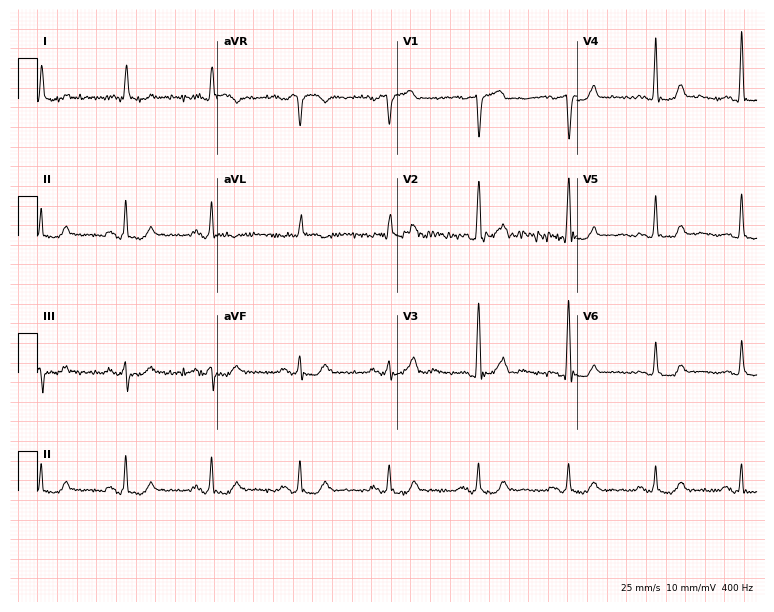
Electrocardiogram, a male patient, 70 years old. Of the six screened findings (first-degree AV block, right bundle branch block, left bundle branch block, sinus bradycardia, atrial fibrillation, sinus tachycardia), none is recorded.